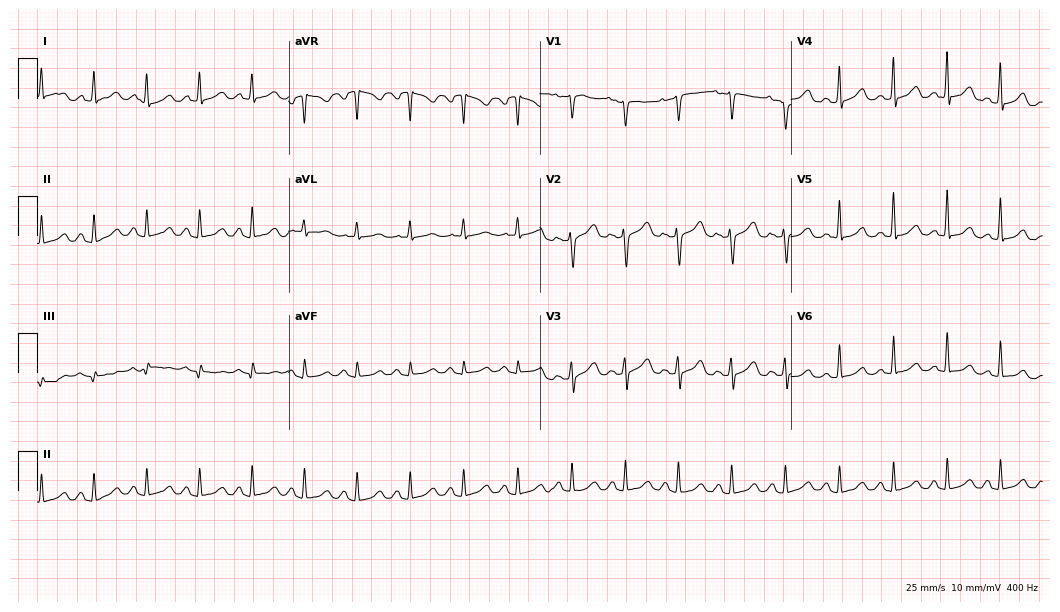
12-lead ECG from a 46-year-old woman. Findings include sinus tachycardia (a sinus rate of 100 beats per minute or more).